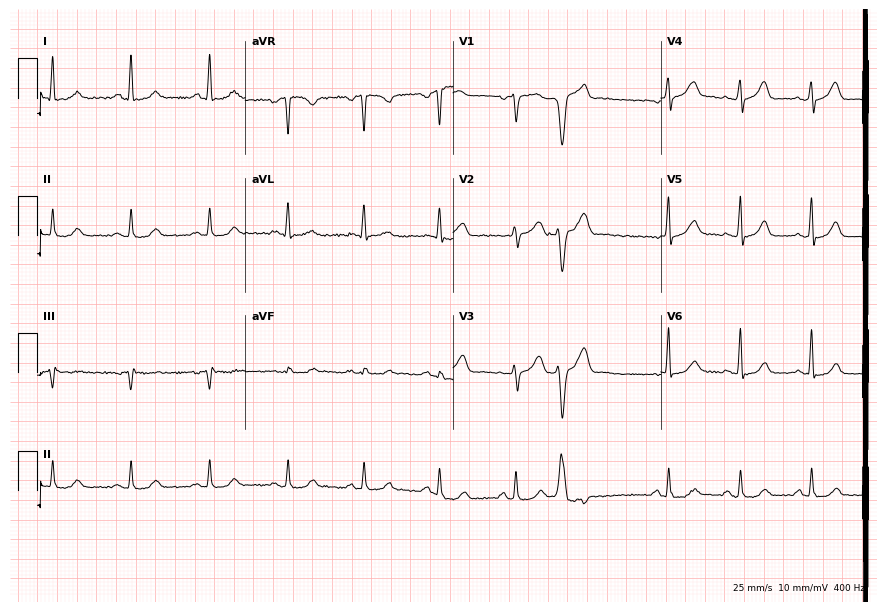
Standard 12-lead ECG recorded from a 51-year-old female. None of these six findings is recorded: first-degree AV block, right bundle branch block, left bundle branch block, sinus bradycardia, atrial fibrillation, sinus tachycardia.